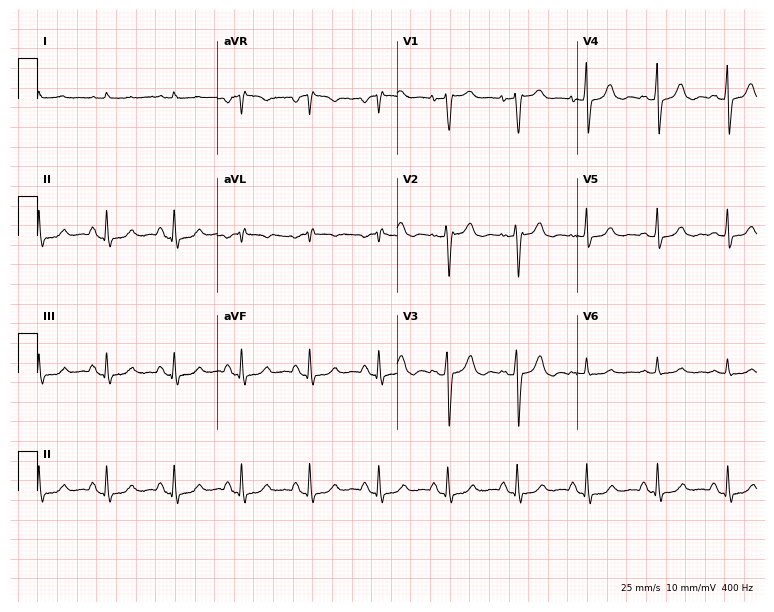
Resting 12-lead electrocardiogram (7.3-second recording at 400 Hz). Patient: a male, 72 years old. None of these six findings is recorded: first-degree AV block, right bundle branch block (RBBB), left bundle branch block (LBBB), sinus bradycardia, atrial fibrillation (AF), sinus tachycardia.